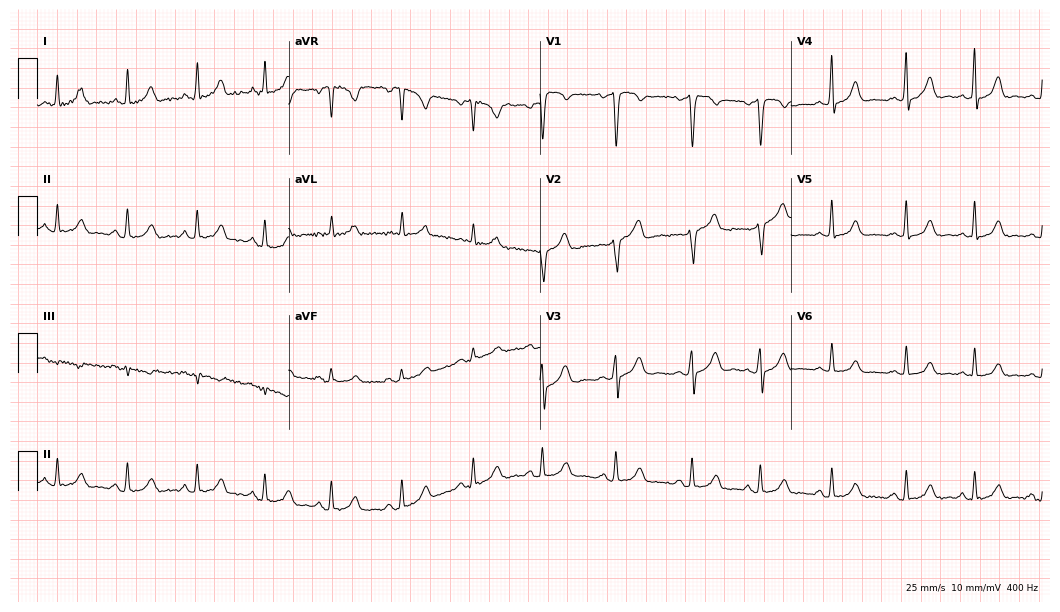
12-lead ECG (10.2-second recording at 400 Hz) from a 34-year-old woman. Labelled as a normal ECG.